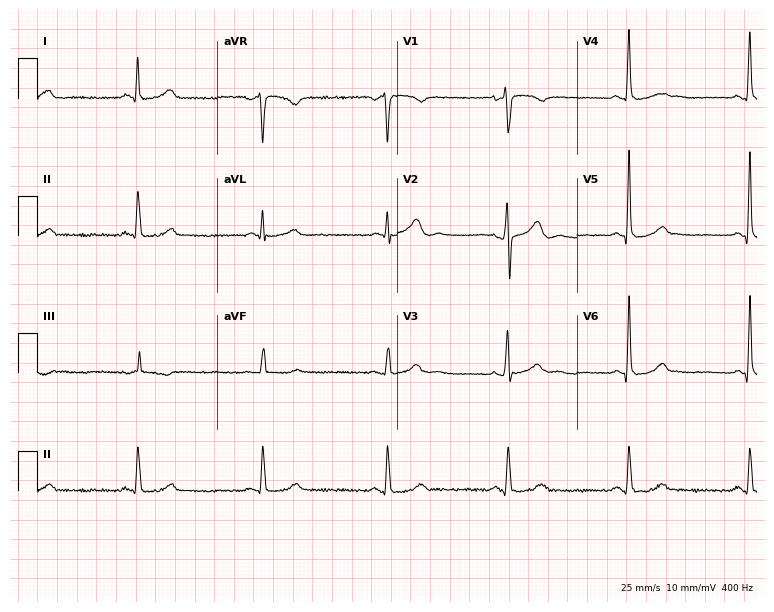
Resting 12-lead electrocardiogram (7.3-second recording at 400 Hz). Patient: a 42-year-old male. None of these six findings is recorded: first-degree AV block, right bundle branch block, left bundle branch block, sinus bradycardia, atrial fibrillation, sinus tachycardia.